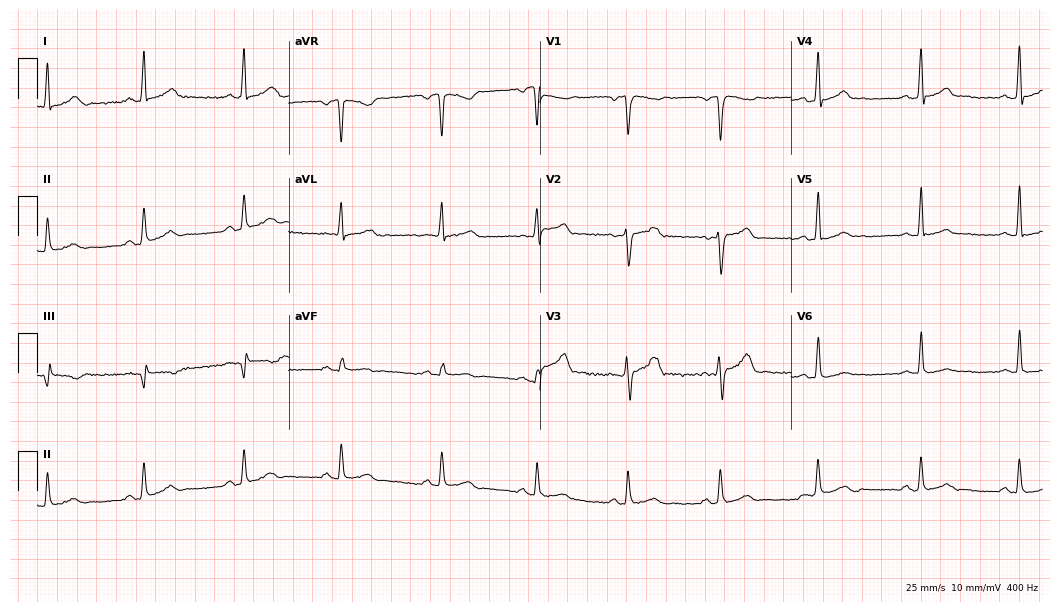
Standard 12-lead ECG recorded from a man, 38 years old (10.2-second recording at 400 Hz). Read as a normal ECG.